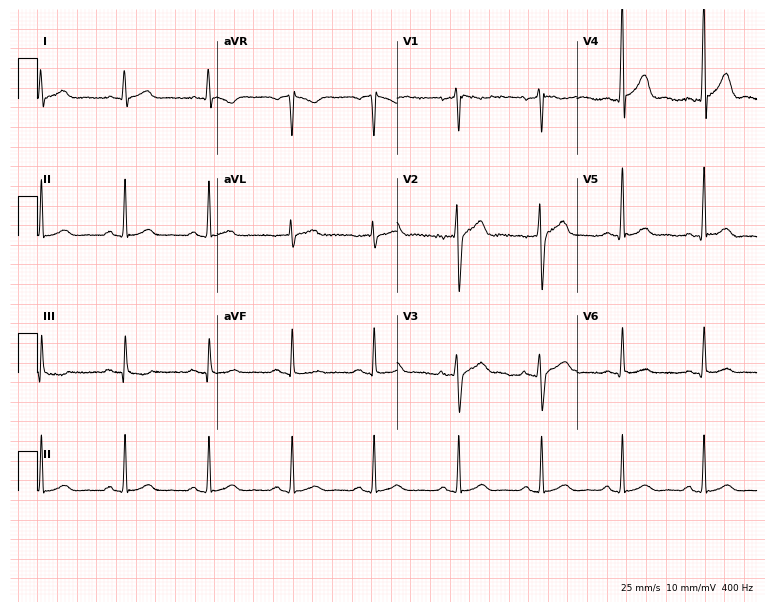
ECG (7.3-second recording at 400 Hz) — a male, 31 years old. Labelled as a normal ECG.